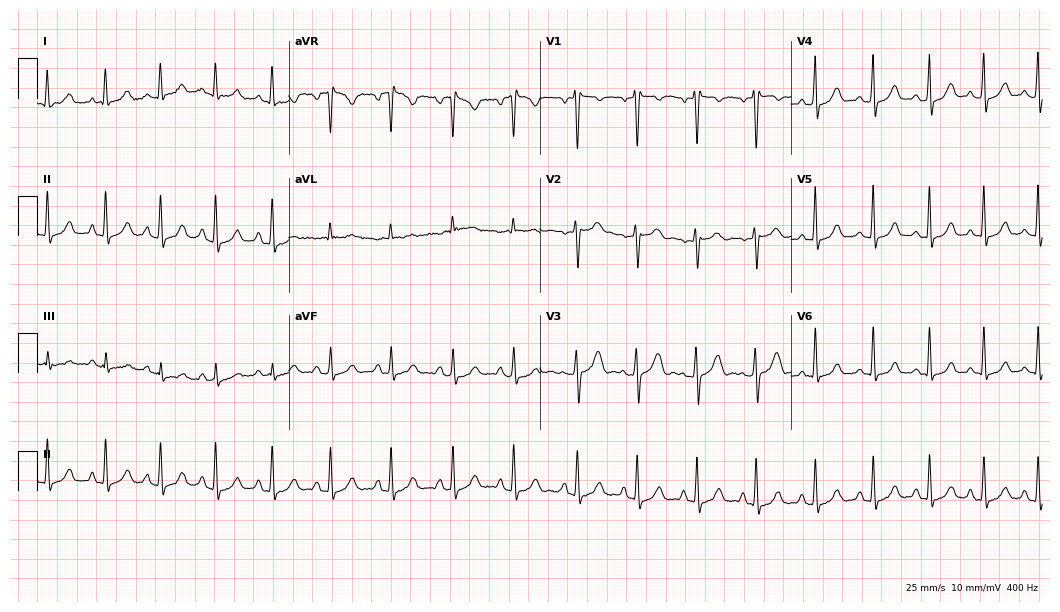
ECG — a 27-year-old woman. Findings include sinus tachycardia (a sinus rate of 100 beats per minute or more).